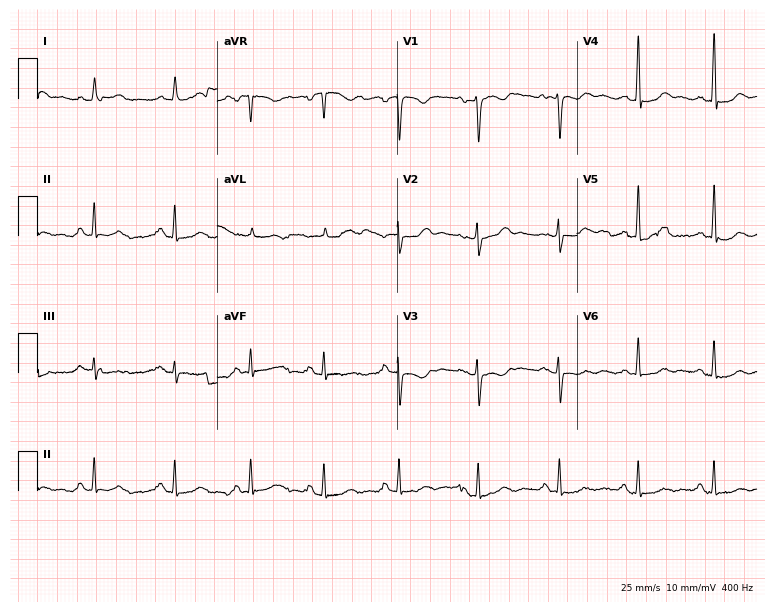
Electrocardiogram, a 46-year-old female patient. Of the six screened findings (first-degree AV block, right bundle branch block (RBBB), left bundle branch block (LBBB), sinus bradycardia, atrial fibrillation (AF), sinus tachycardia), none is recorded.